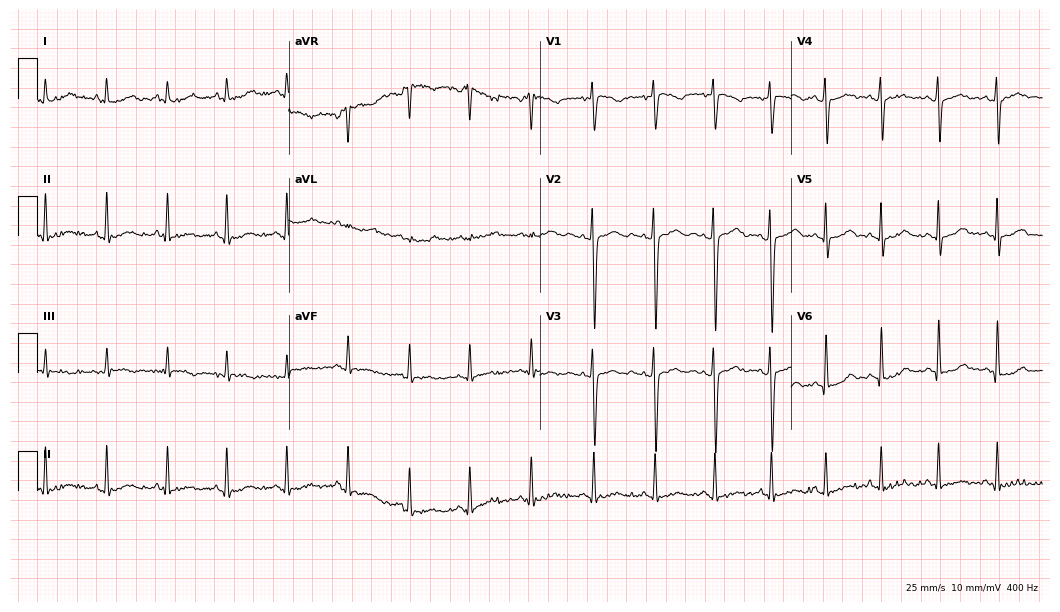
Resting 12-lead electrocardiogram (10.2-second recording at 400 Hz). Patient: a female, 18 years old. None of these six findings is recorded: first-degree AV block, right bundle branch block, left bundle branch block, sinus bradycardia, atrial fibrillation, sinus tachycardia. Findings outside these six are not listed.